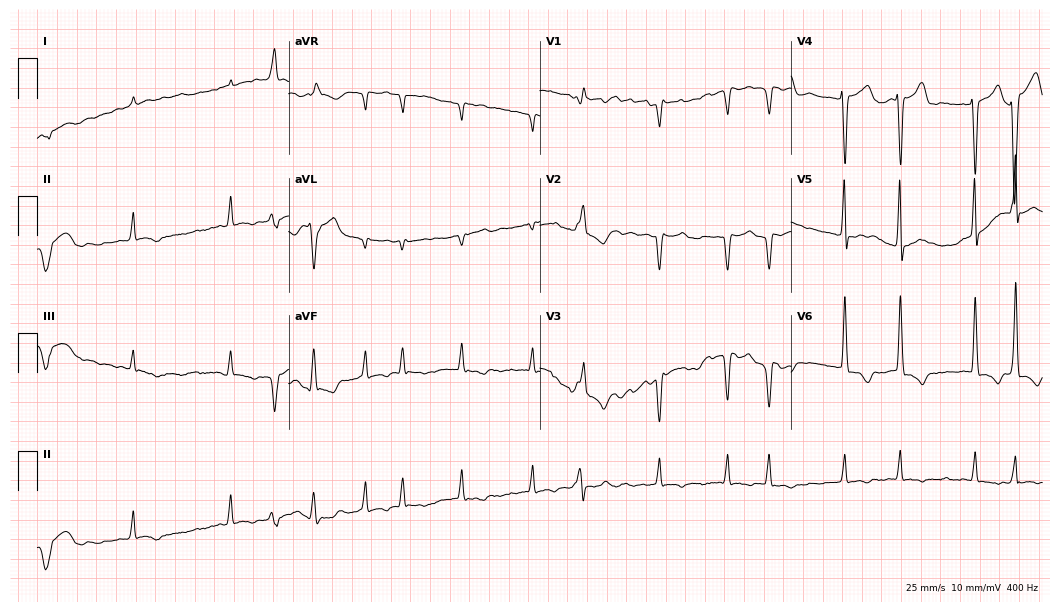
Resting 12-lead electrocardiogram. Patient: a 71-year-old female. None of these six findings is recorded: first-degree AV block, right bundle branch block, left bundle branch block, sinus bradycardia, atrial fibrillation, sinus tachycardia. Other findings, if any, are not listed.